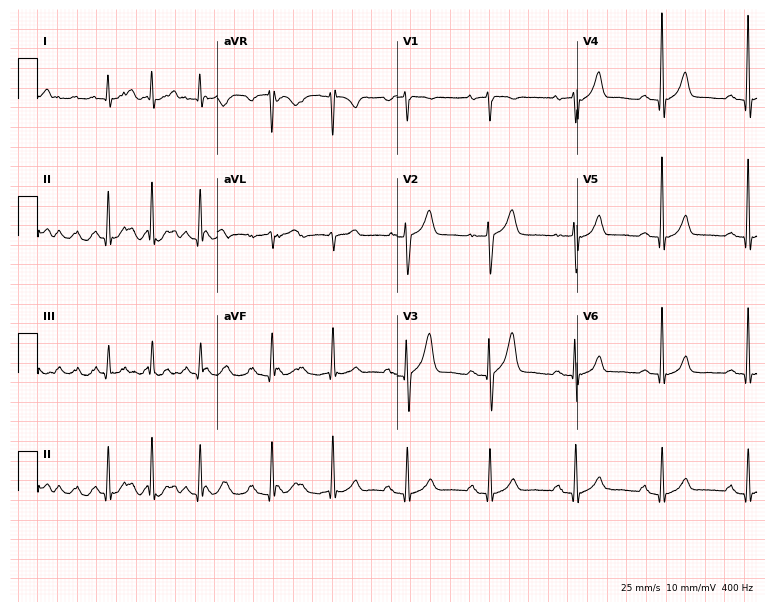
12-lead ECG (7.3-second recording at 400 Hz) from an 84-year-old male patient. Labelled as a normal ECG.